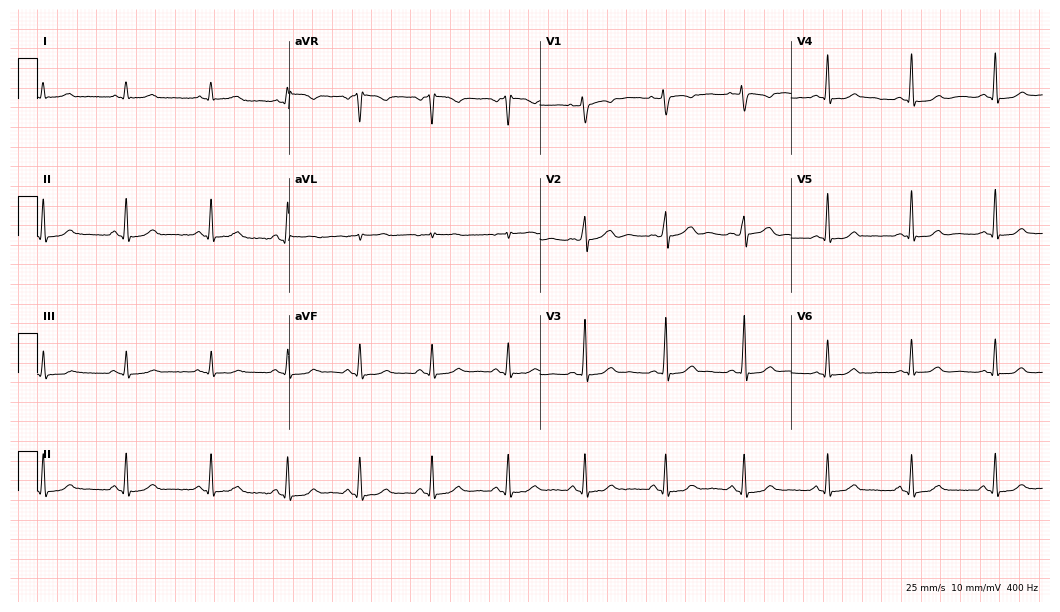
12-lead ECG from a 42-year-old woman. Recorded interpretation: within normal limits.